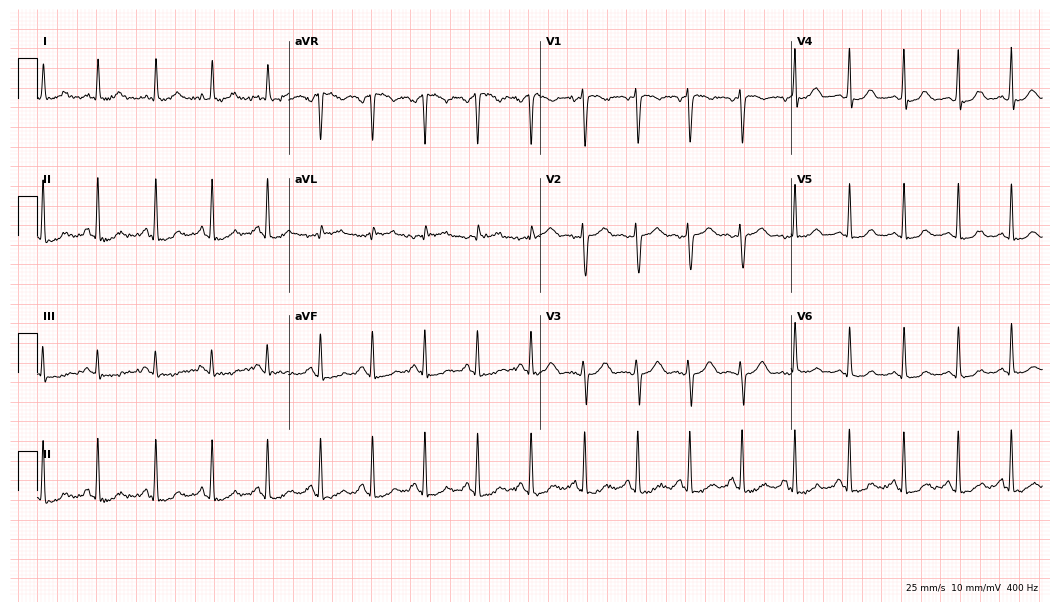
12-lead ECG from a 26-year-old woman. Shows sinus tachycardia (a sinus rate of 100 beats per minute or more).